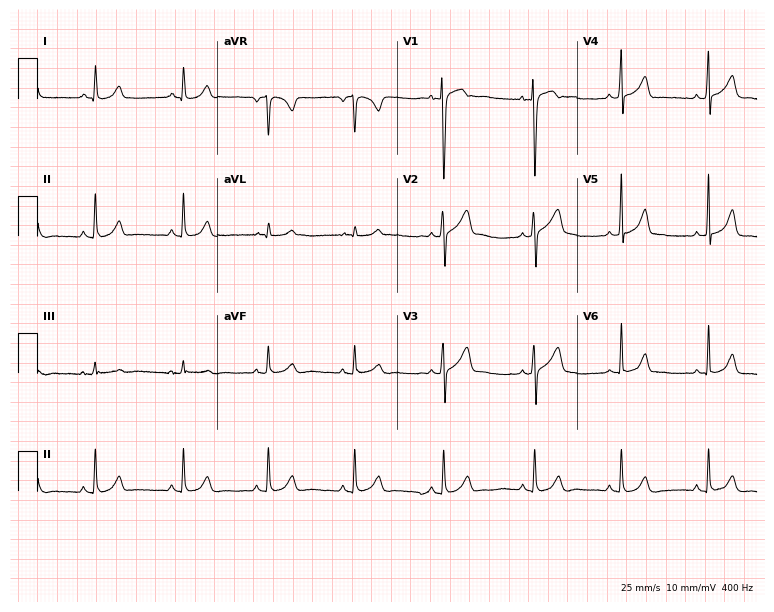
Electrocardiogram, a female patient, 18 years old. Of the six screened findings (first-degree AV block, right bundle branch block, left bundle branch block, sinus bradycardia, atrial fibrillation, sinus tachycardia), none is recorded. Findings outside these six are not listed.